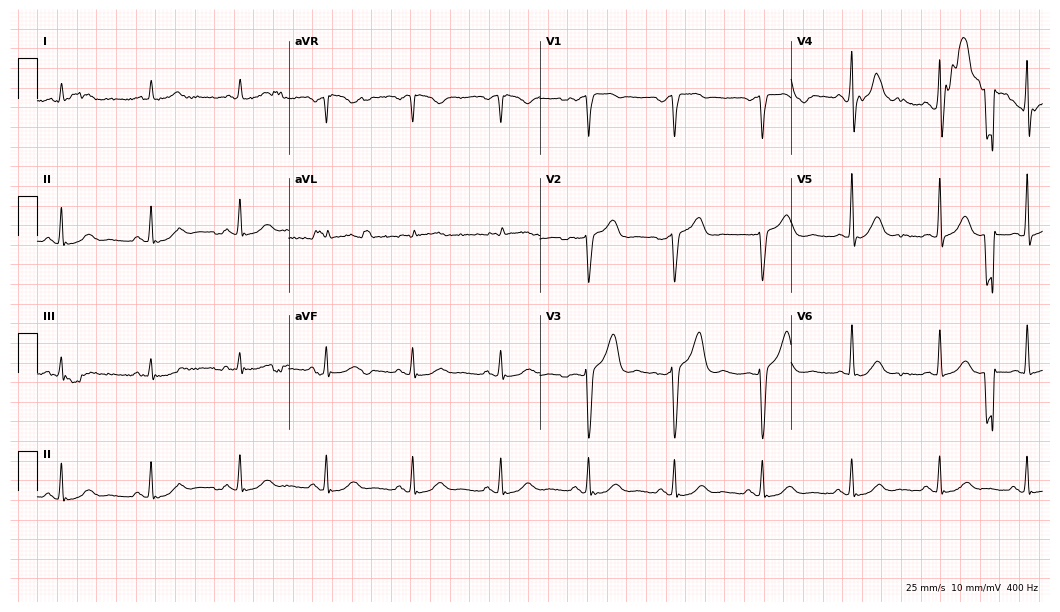
Resting 12-lead electrocardiogram. Patient: a male, 60 years old. None of these six findings is recorded: first-degree AV block, right bundle branch block, left bundle branch block, sinus bradycardia, atrial fibrillation, sinus tachycardia. Findings outside these six are not listed.